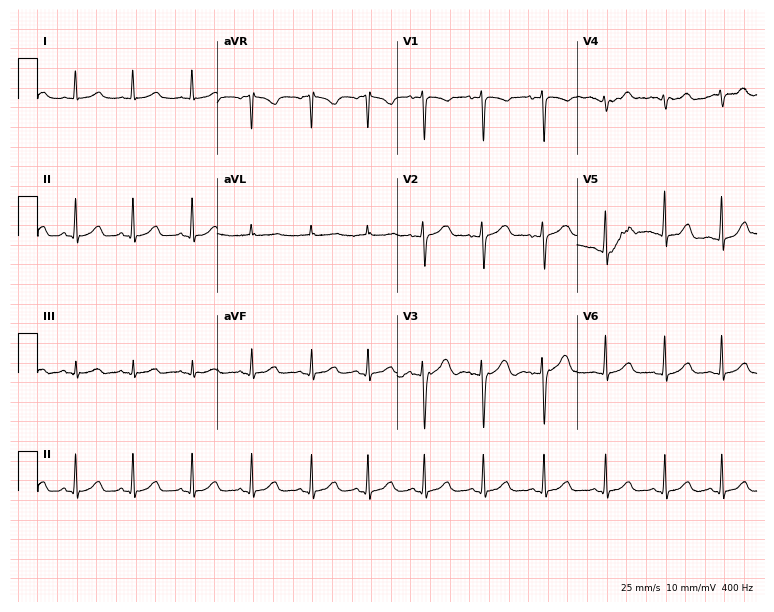
Resting 12-lead electrocardiogram (7.3-second recording at 400 Hz). Patient: a 19-year-old female. Read as a normal ECG.